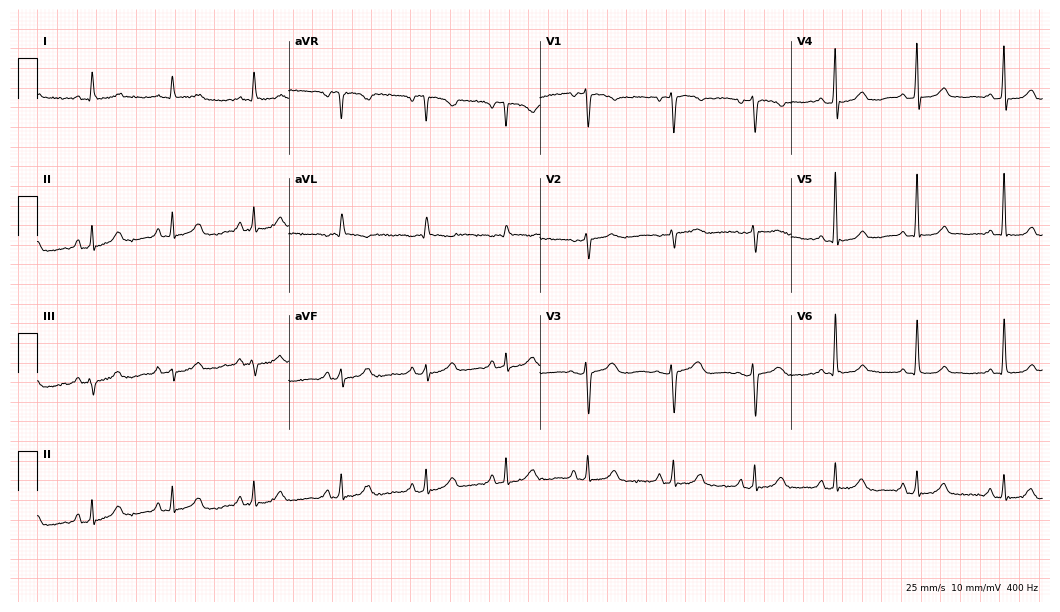
12-lead ECG (10.2-second recording at 400 Hz) from a woman, 84 years old. Screened for six findings — first-degree AV block, right bundle branch block (RBBB), left bundle branch block (LBBB), sinus bradycardia, atrial fibrillation (AF), sinus tachycardia — none is recorded.